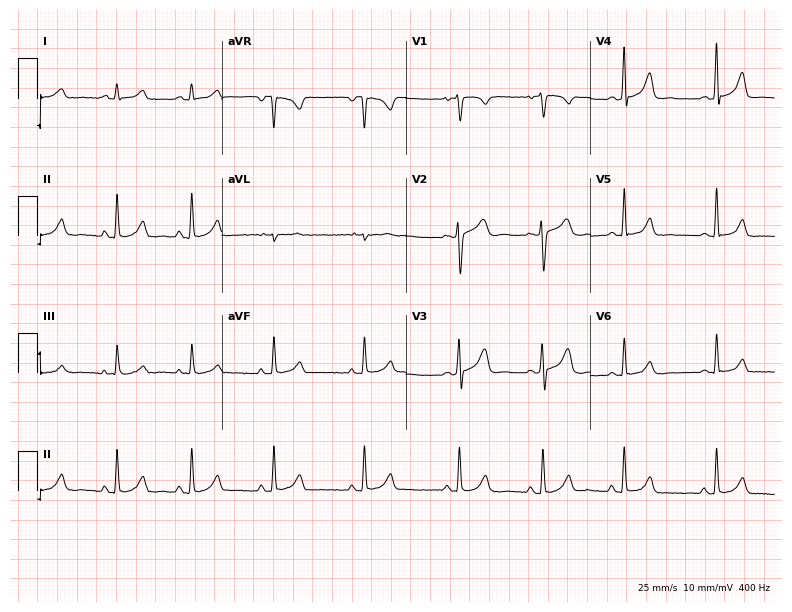
12-lead ECG (7.5-second recording at 400 Hz) from a 24-year-old female. Labelled as a normal ECG.